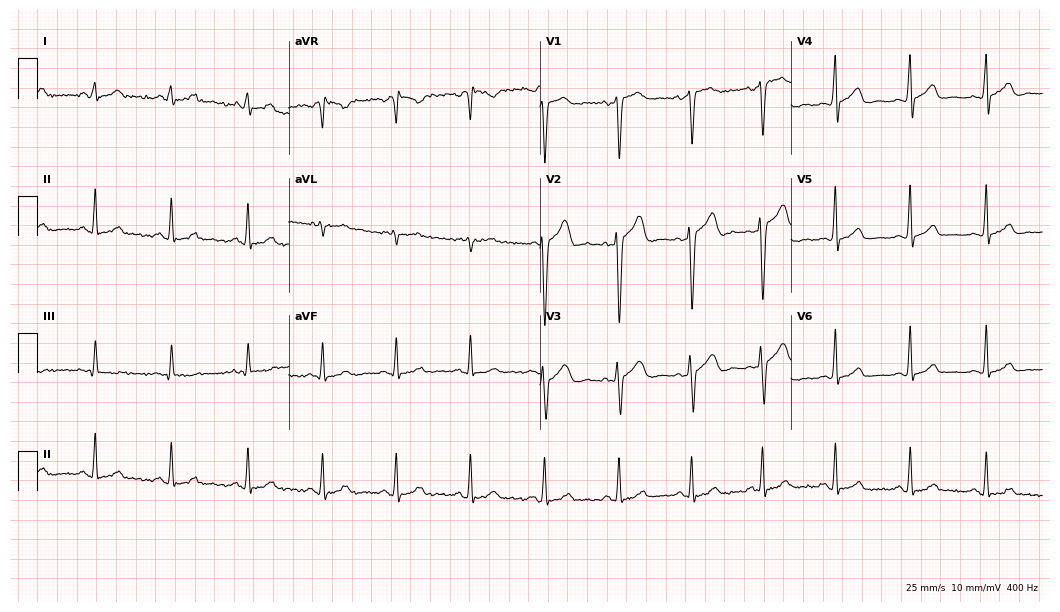
Standard 12-lead ECG recorded from a 37-year-old woman (10.2-second recording at 400 Hz). None of these six findings is recorded: first-degree AV block, right bundle branch block, left bundle branch block, sinus bradycardia, atrial fibrillation, sinus tachycardia.